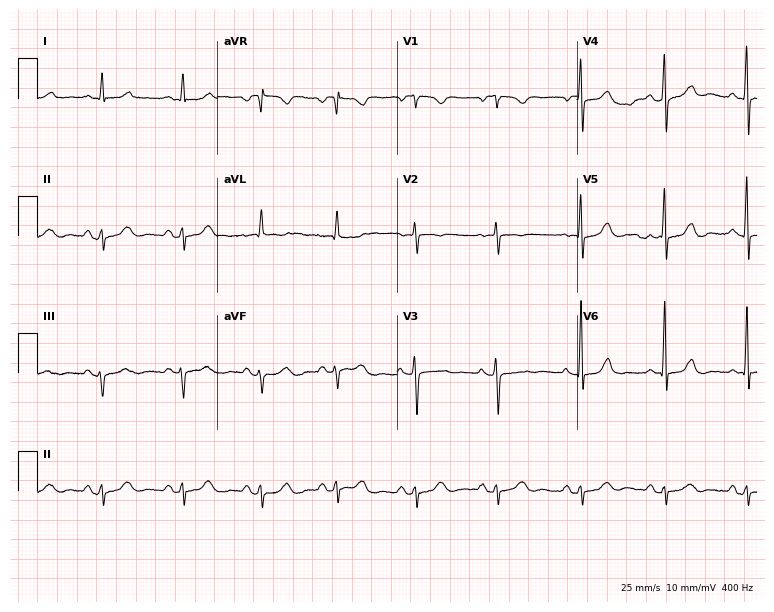
Standard 12-lead ECG recorded from a woman, 64 years old (7.3-second recording at 400 Hz). None of these six findings is recorded: first-degree AV block, right bundle branch block, left bundle branch block, sinus bradycardia, atrial fibrillation, sinus tachycardia. Other findings, if any, are not listed.